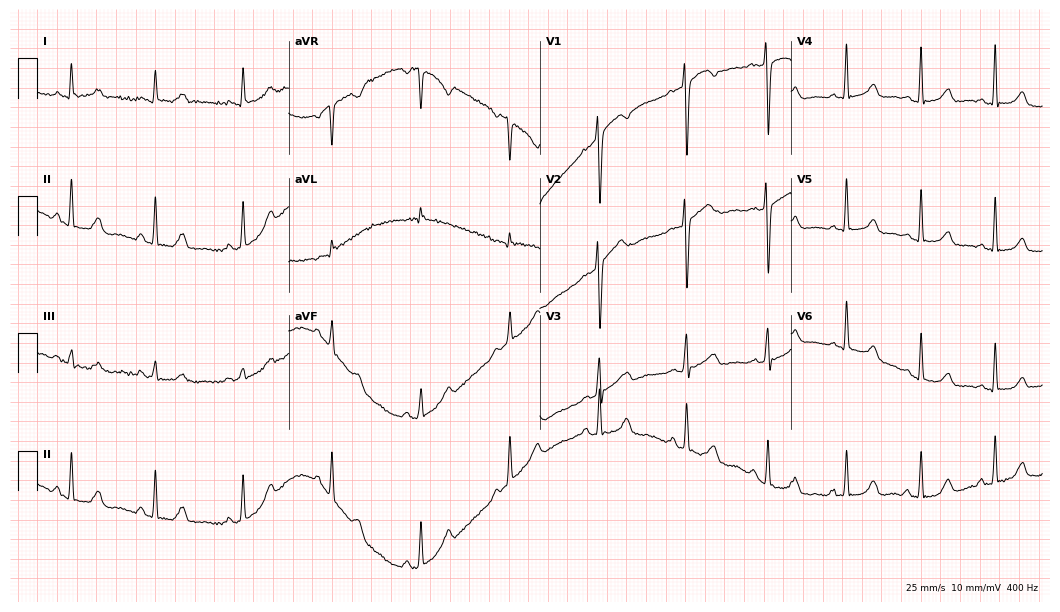
Standard 12-lead ECG recorded from a 48-year-old female (10.2-second recording at 400 Hz). Read as a normal ECG.